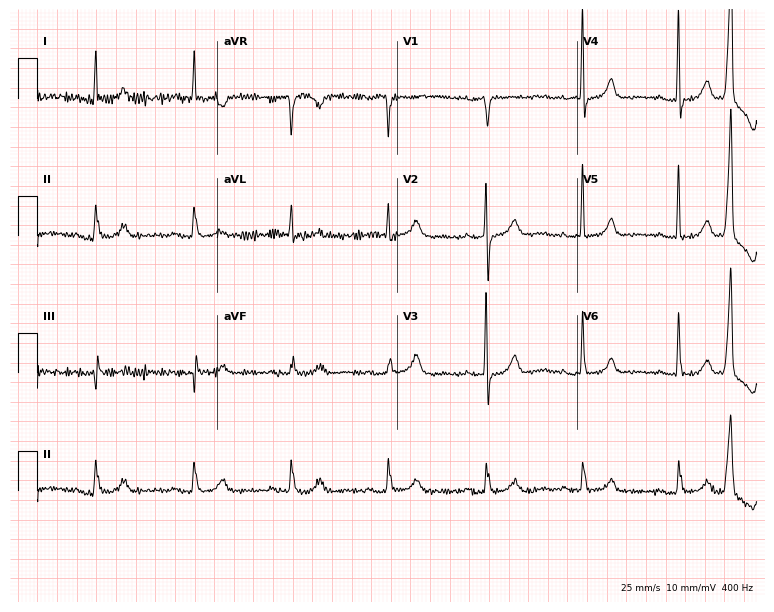
12-lead ECG (7.3-second recording at 400 Hz) from a female, 77 years old. Screened for six findings — first-degree AV block, right bundle branch block (RBBB), left bundle branch block (LBBB), sinus bradycardia, atrial fibrillation (AF), sinus tachycardia — none is recorded. Only these six findings were labelled.